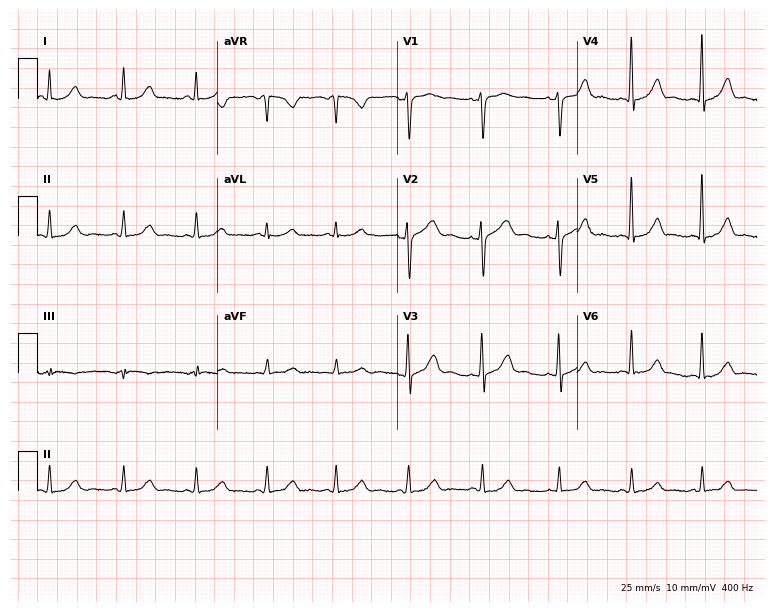
12-lead ECG (7.3-second recording at 400 Hz) from a female, 42 years old. Labelled as a normal ECG.